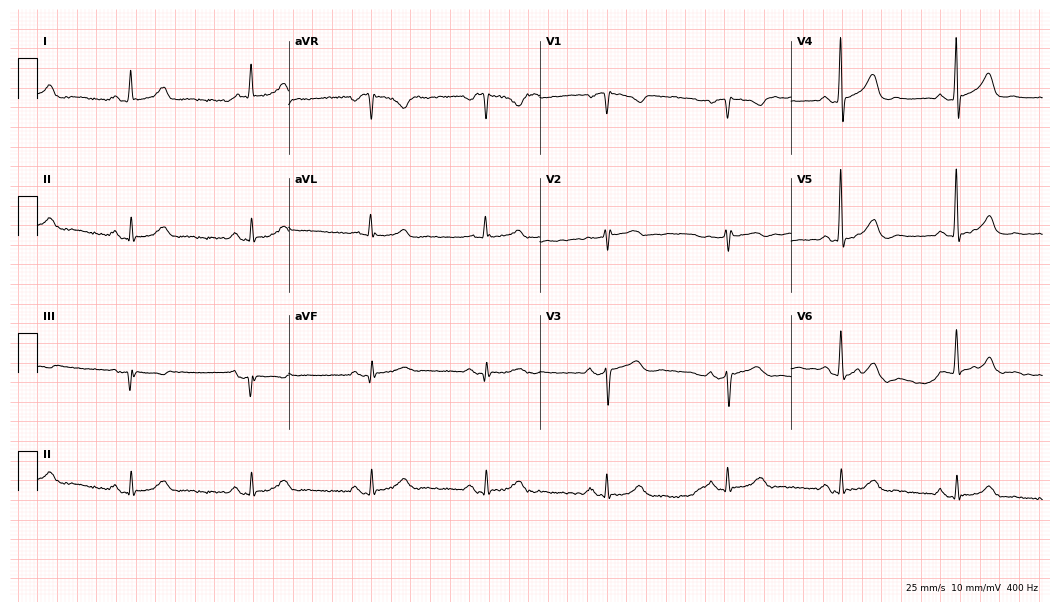
Standard 12-lead ECG recorded from a female patient, 57 years old (10.2-second recording at 400 Hz). Read as a normal ECG.